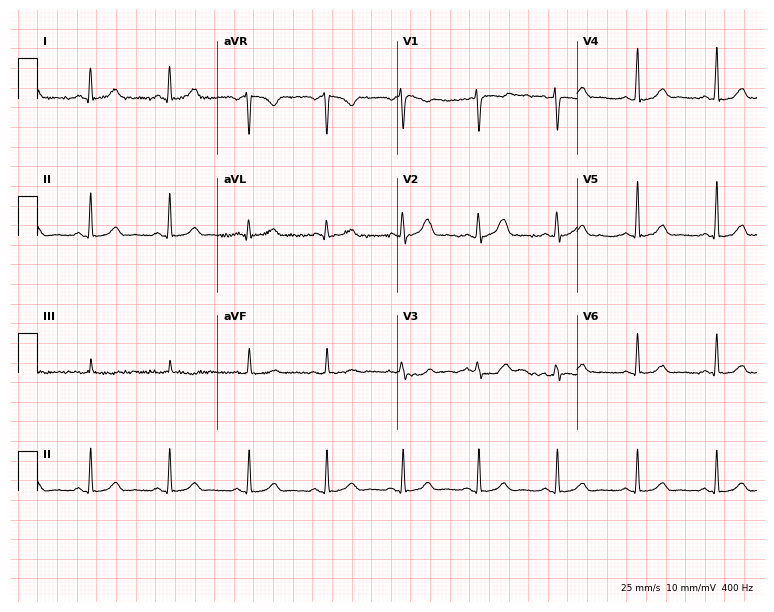
12-lead ECG from a female, 45 years old. Labelled as a normal ECG.